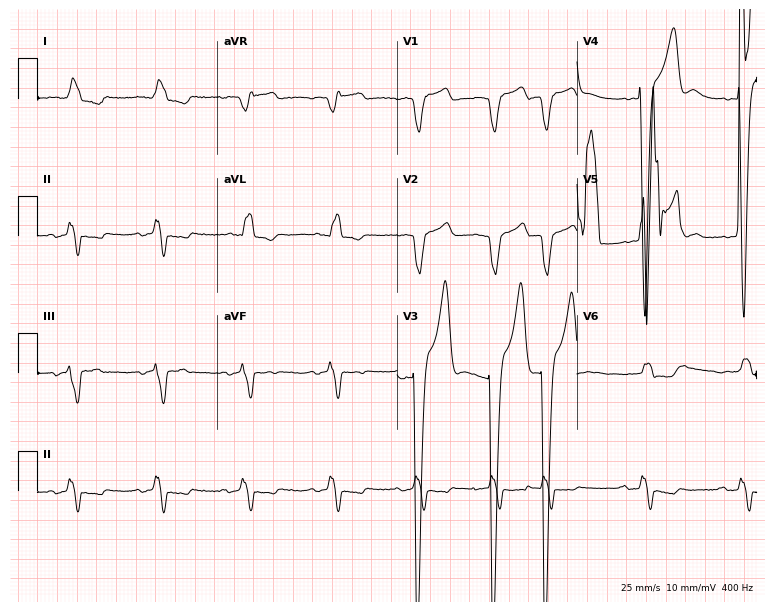
Standard 12-lead ECG recorded from a male, 73 years old. The tracing shows left bundle branch block.